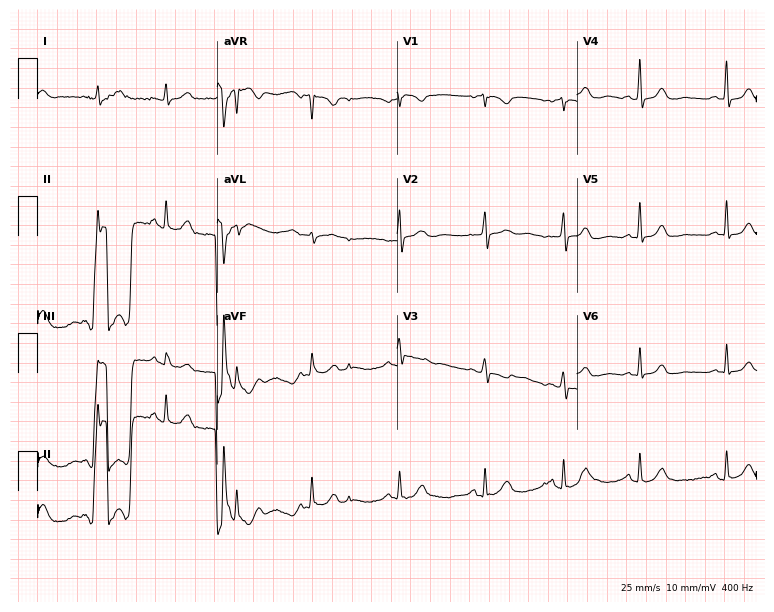
ECG (7.3-second recording at 400 Hz) — a 37-year-old woman. Screened for six findings — first-degree AV block, right bundle branch block, left bundle branch block, sinus bradycardia, atrial fibrillation, sinus tachycardia — none is recorded. Other findings, if any, are not listed.